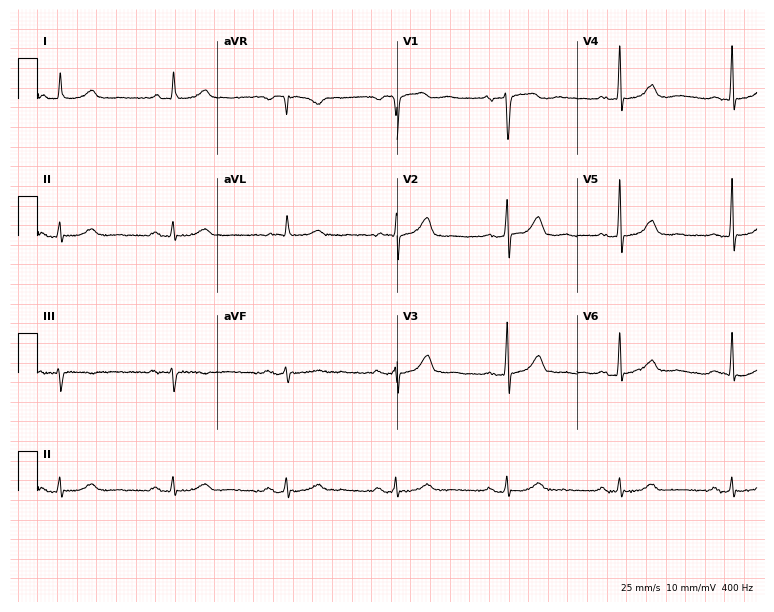
12-lead ECG from a male, 72 years old (7.3-second recording at 400 Hz). Shows first-degree AV block.